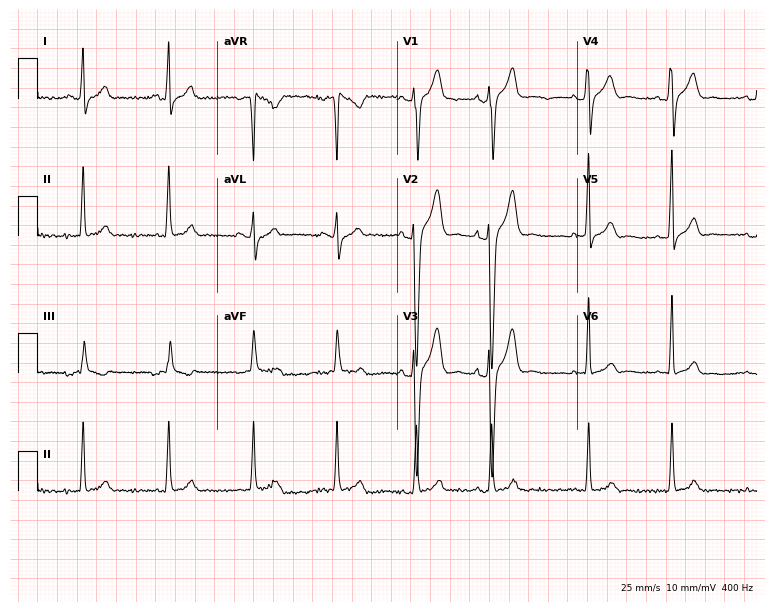
12-lead ECG from a male, 24 years old. Screened for six findings — first-degree AV block, right bundle branch block, left bundle branch block, sinus bradycardia, atrial fibrillation, sinus tachycardia — none is recorded. Findings outside these six are not listed.